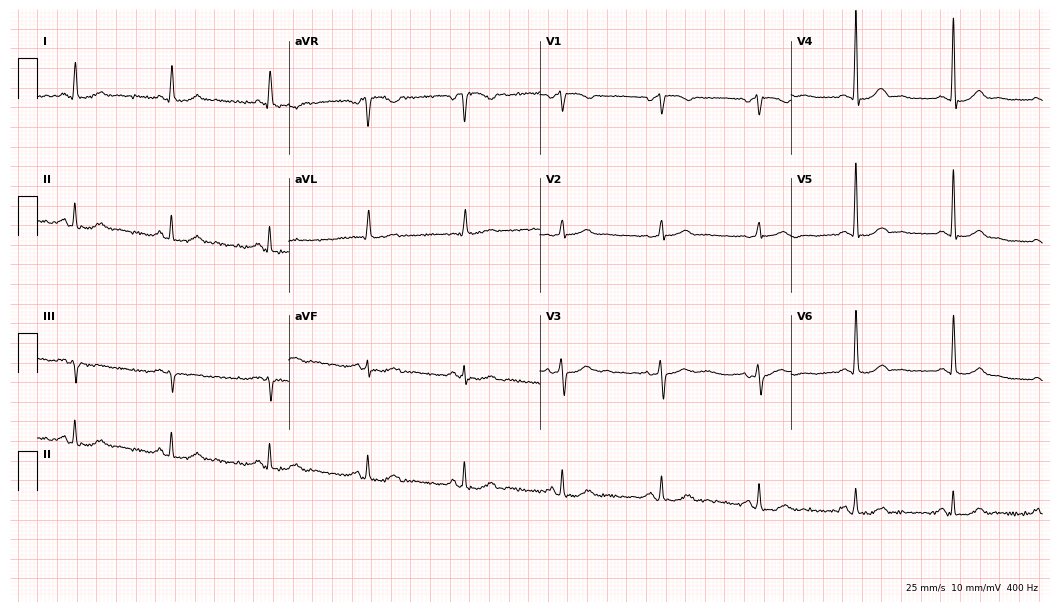
Electrocardiogram (10.2-second recording at 400 Hz), a 66-year-old female. Overall reading on record: normal ECG.